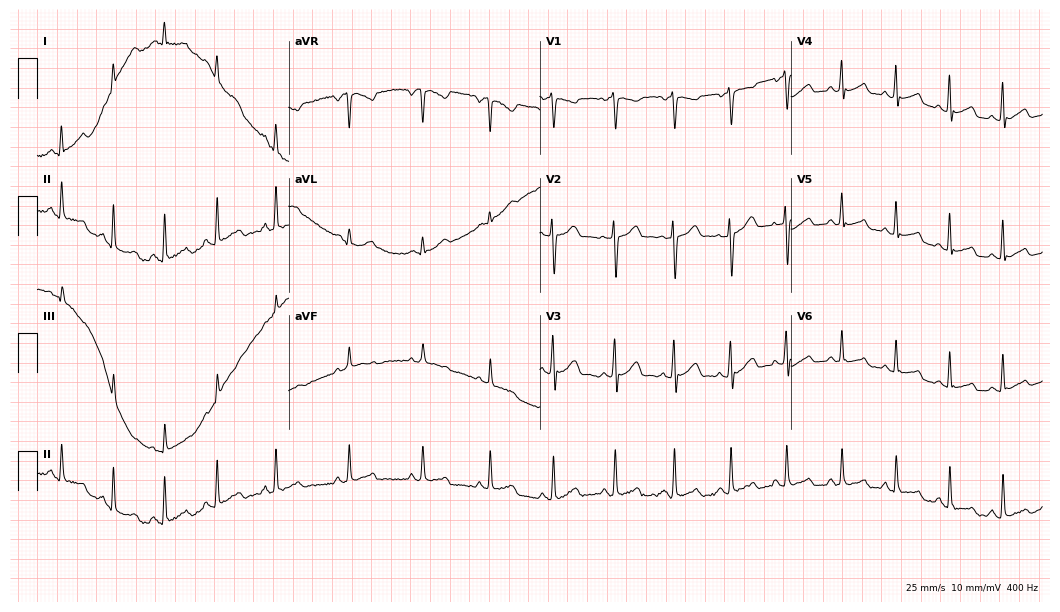
Standard 12-lead ECG recorded from a female, 26 years old. The tracing shows sinus tachycardia (a sinus rate of 100 beats per minute or more).